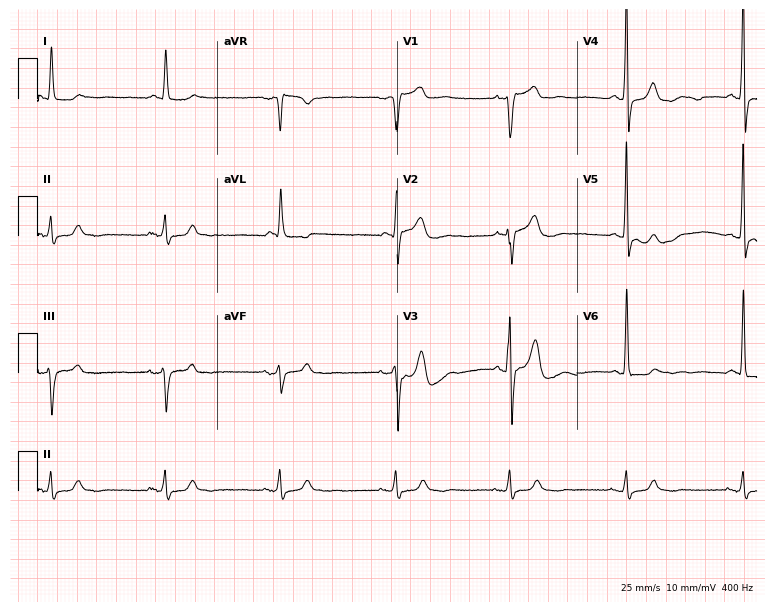
Standard 12-lead ECG recorded from a 74-year-old man. None of these six findings is recorded: first-degree AV block, right bundle branch block (RBBB), left bundle branch block (LBBB), sinus bradycardia, atrial fibrillation (AF), sinus tachycardia. Other findings, if any, are not listed.